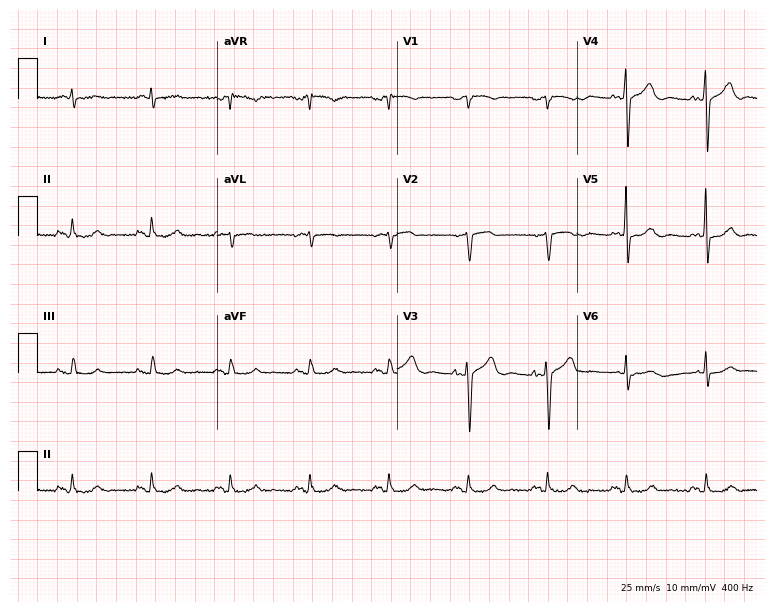
Standard 12-lead ECG recorded from a male patient, 82 years old (7.3-second recording at 400 Hz). None of these six findings is recorded: first-degree AV block, right bundle branch block (RBBB), left bundle branch block (LBBB), sinus bradycardia, atrial fibrillation (AF), sinus tachycardia. Findings outside these six are not listed.